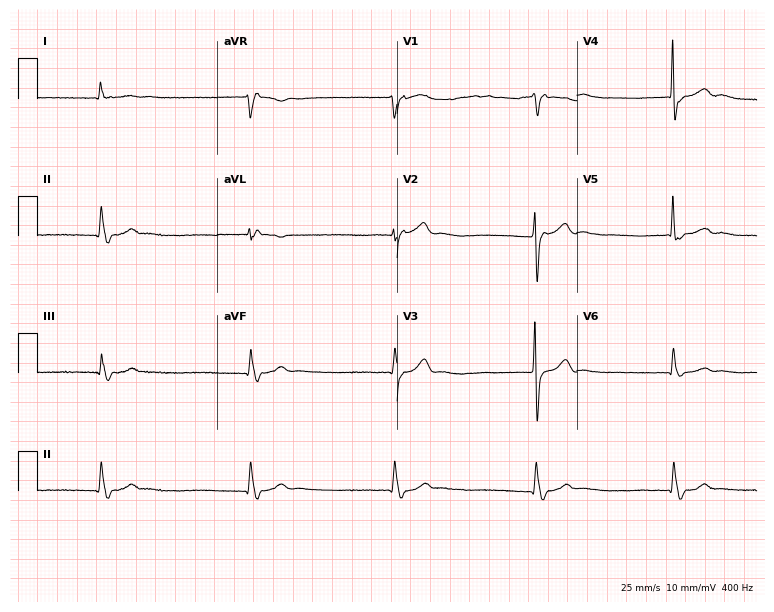
Electrocardiogram, a female, 77 years old. Of the six screened findings (first-degree AV block, right bundle branch block, left bundle branch block, sinus bradycardia, atrial fibrillation, sinus tachycardia), none is recorded. Other findings, if any, are not listed.